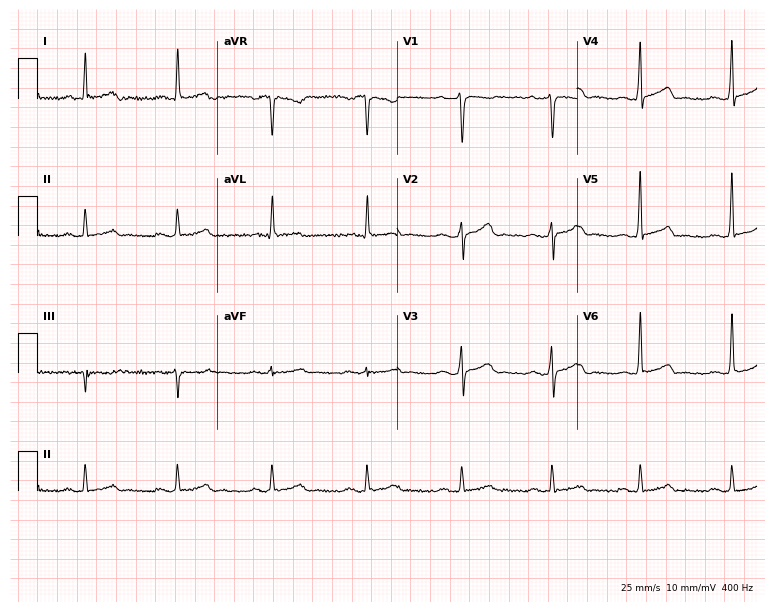
ECG — a 34-year-old male patient. Screened for six findings — first-degree AV block, right bundle branch block (RBBB), left bundle branch block (LBBB), sinus bradycardia, atrial fibrillation (AF), sinus tachycardia — none is recorded.